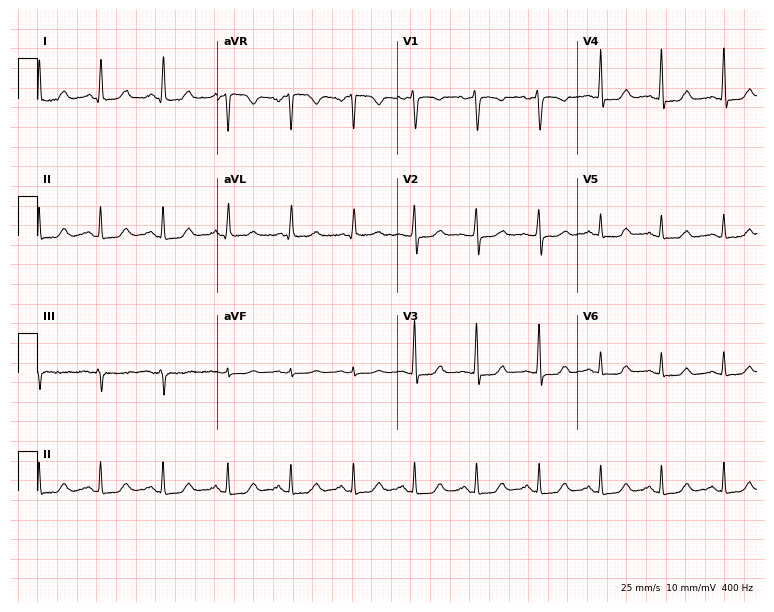
Electrocardiogram (7.3-second recording at 400 Hz), a 49-year-old female. Overall reading on record: normal ECG.